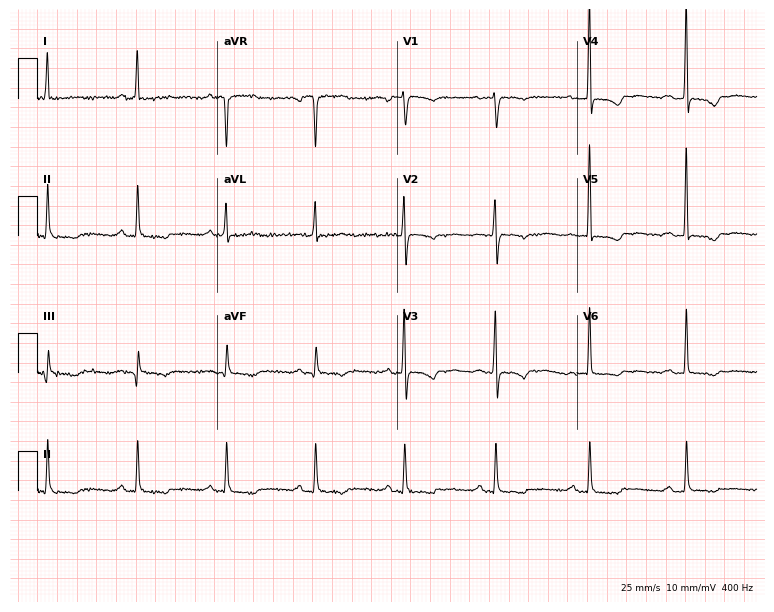
Standard 12-lead ECG recorded from a 78-year-old female. Read as a normal ECG.